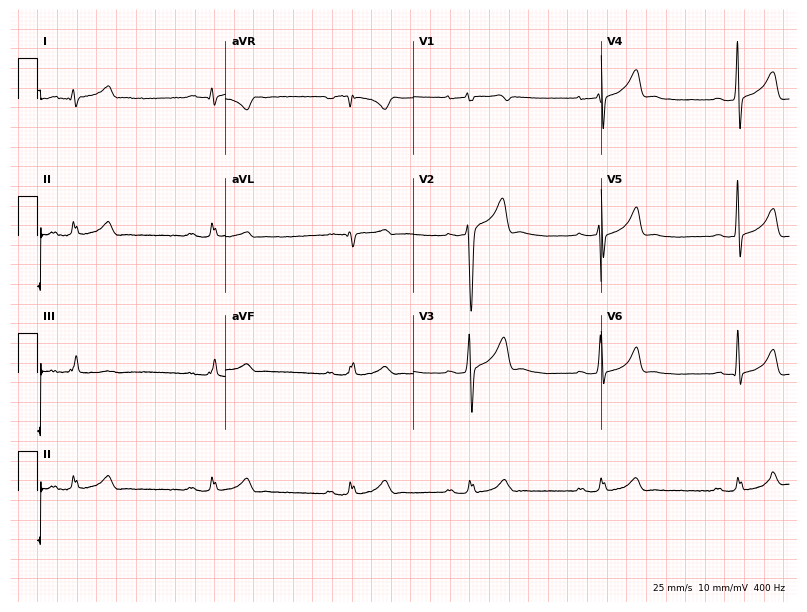
Resting 12-lead electrocardiogram (7.7-second recording at 400 Hz). Patient: a male, 28 years old. None of these six findings is recorded: first-degree AV block, right bundle branch block (RBBB), left bundle branch block (LBBB), sinus bradycardia, atrial fibrillation (AF), sinus tachycardia. Only these six findings were labelled.